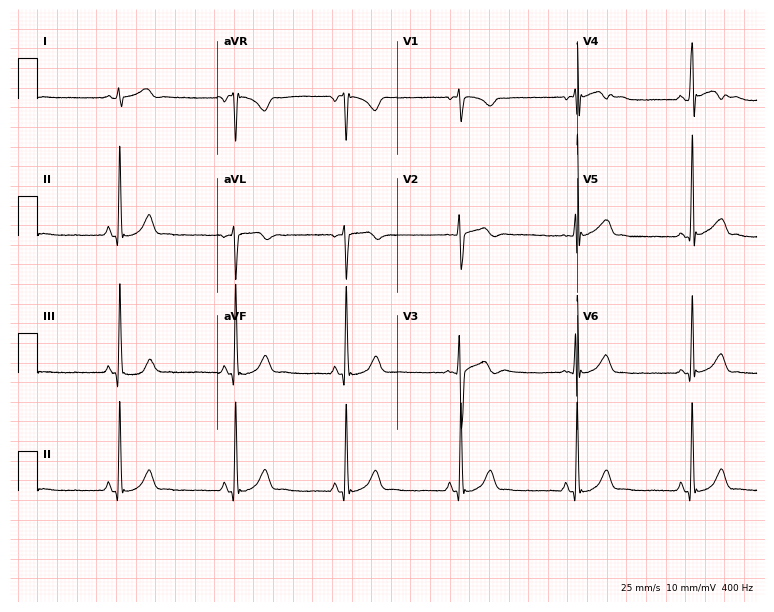
12-lead ECG (7.3-second recording at 400 Hz) from a male, 17 years old. Screened for six findings — first-degree AV block, right bundle branch block, left bundle branch block, sinus bradycardia, atrial fibrillation, sinus tachycardia — none is recorded. Other findings, if any, are not listed.